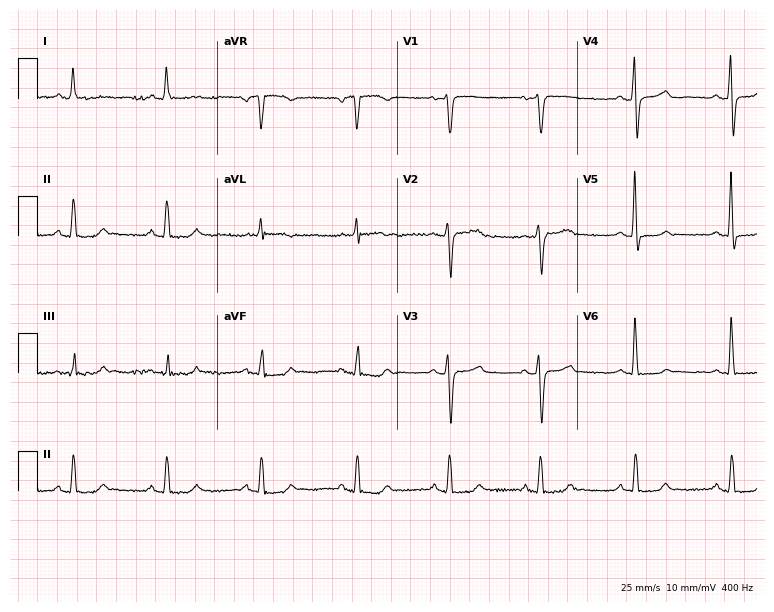
Standard 12-lead ECG recorded from a 68-year-old female (7.3-second recording at 400 Hz). Read as a normal ECG.